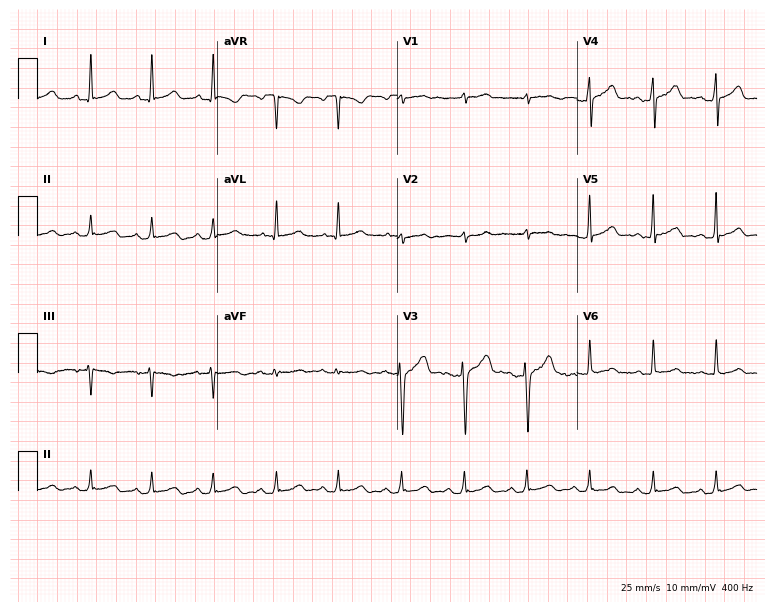
Standard 12-lead ECG recorded from a male, 29 years old (7.3-second recording at 400 Hz). Read as a normal ECG.